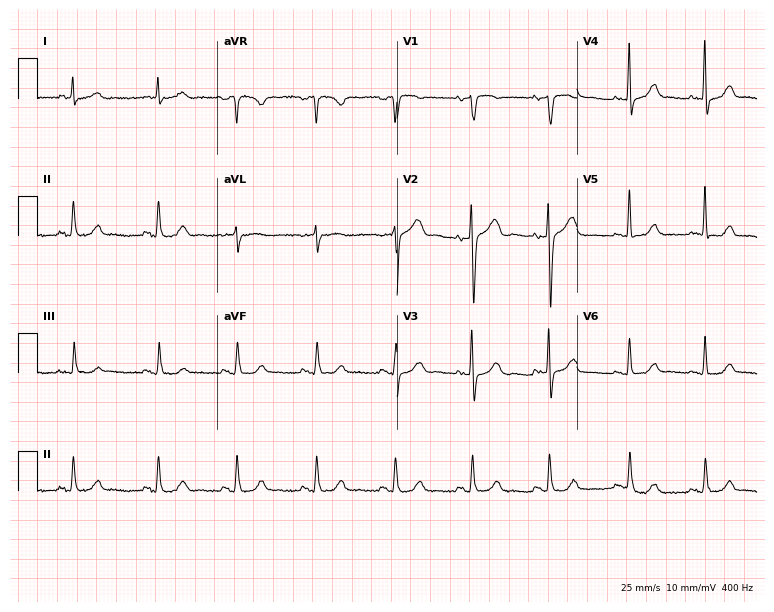
ECG — an 84-year-old female. Screened for six findings — first-degree AV block, right bundle branch block (RBBB), left bundle branch block (LBBB), sinus bradycardia, atrial fibrillation (AF), sinus tachycardia — none is recorded.